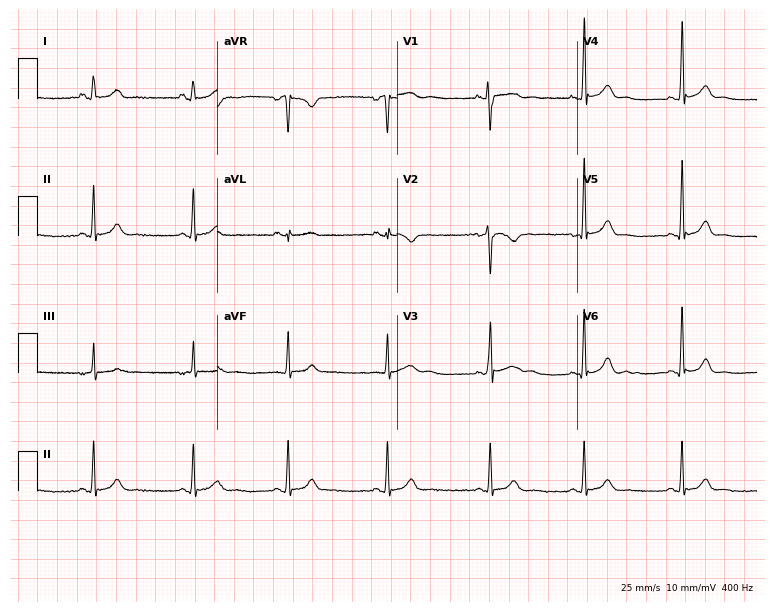
12-lead ECG from a female patient, 23 years old. Labelled as a normal ECG.